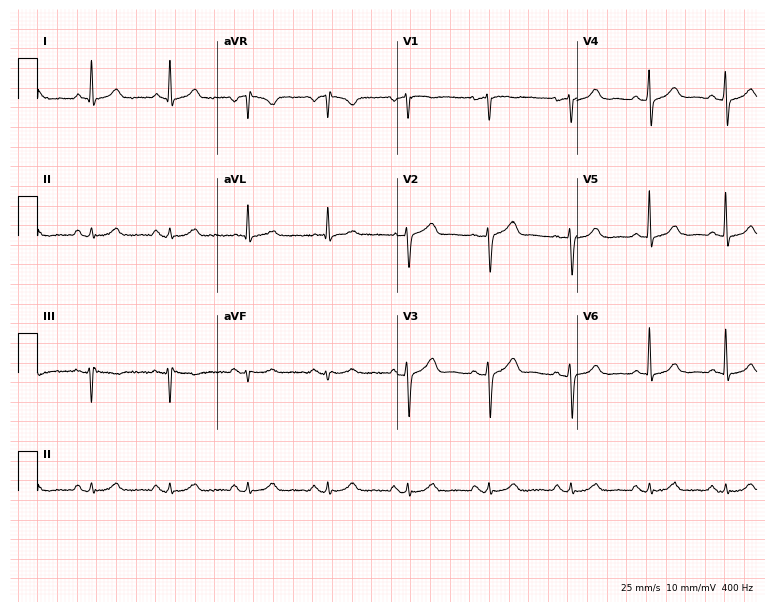
Resting 12-lead electrocardiogram. Patient: a 51-year-old man. Read as a normal ECG.